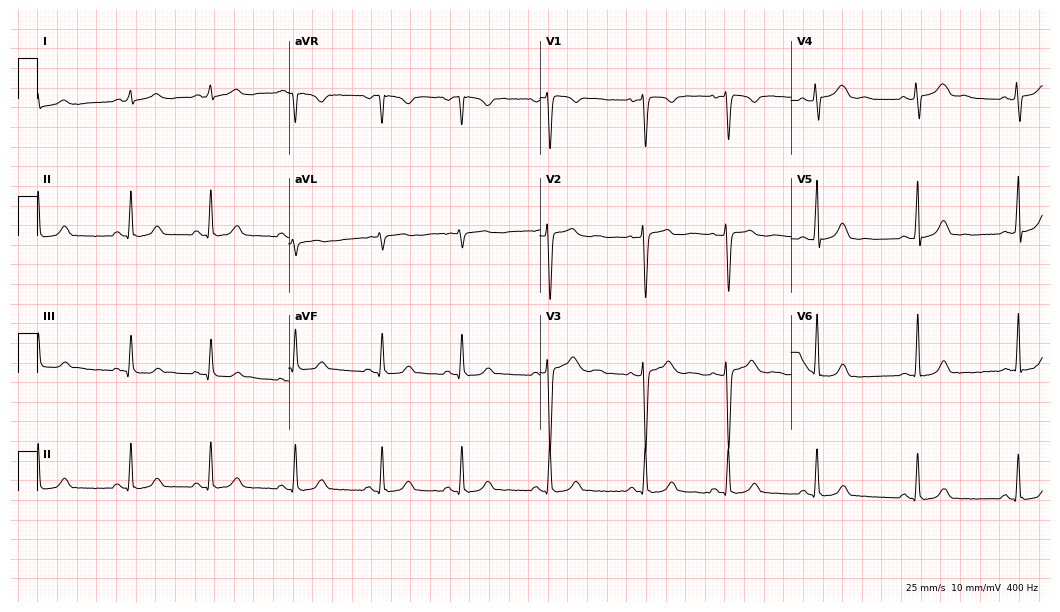
12-lead ECG (10.2-second recording at 400 Hz) from a 36-year-old woman. Labelled as a normal ECG.